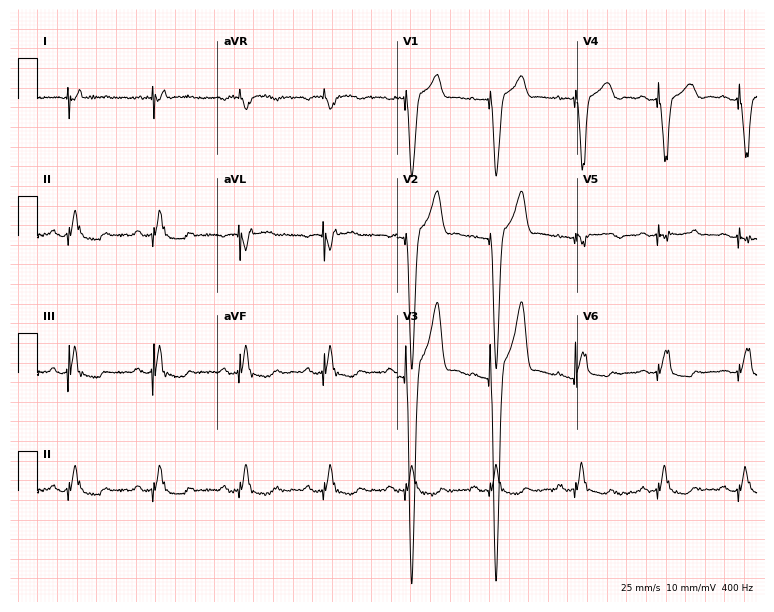
12-lead ECG from a male patient, 84 years old. Screened for six findings — first-degree AV block, right bundle branch block (RBBB), left bundle branch block (LBBB), sinus bradycardia, atrial fibrillation (AF), sinus tachycardia — none is recorded. Other findings, if any, are not listed.